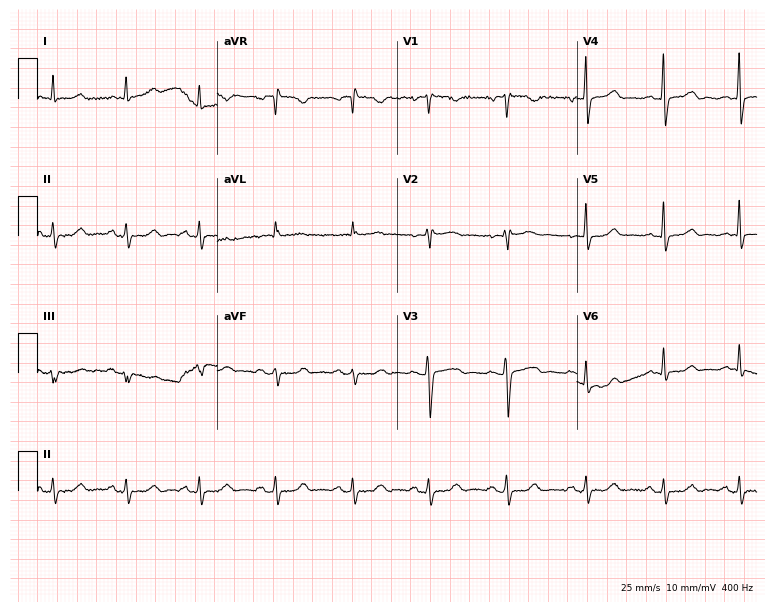
Standard 12-lead ECG recorded from a 60-year-old female (7.3-second recording at 400 Hz). None of these six findings is recorded: first-degree AV block, right bundle branch block (RBBB), left bundle branch block (LBBB), sinus bradycardia, atrial fibrillation (AF), sinus tachycardia. Only these six findings were labelled.